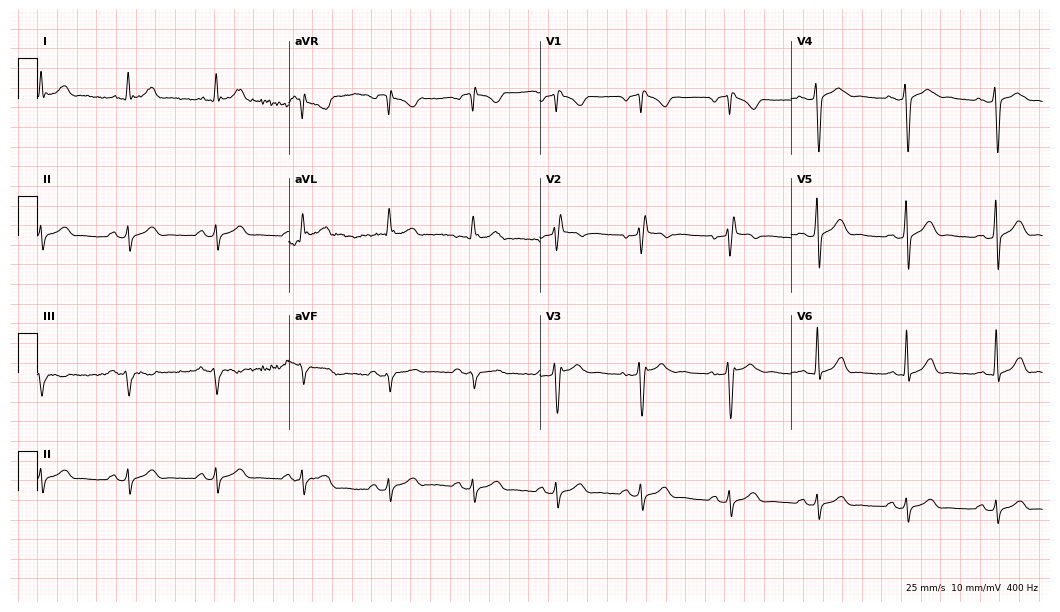
Electrocardiogram (10.2-second recording at 400 Hz), a 35-year-old male. Of the six screened findings (first-degree AV block, right bundle branch block, left bundle branch block, sinus bradycardia, atrial fibrillation, sinus tachycardia), none is recorded.